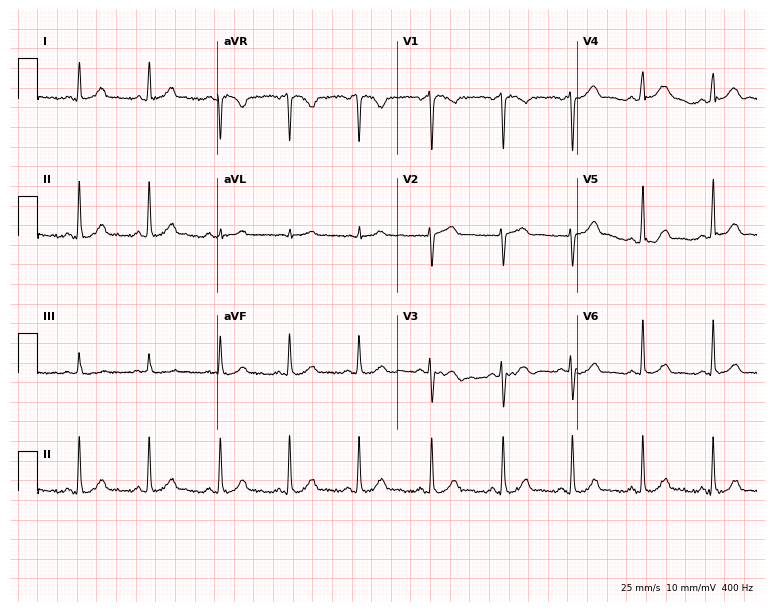
ECG (7.3-second recording at 400 Hz) — a woman, 41 years old. Labelled as a normal ECG.